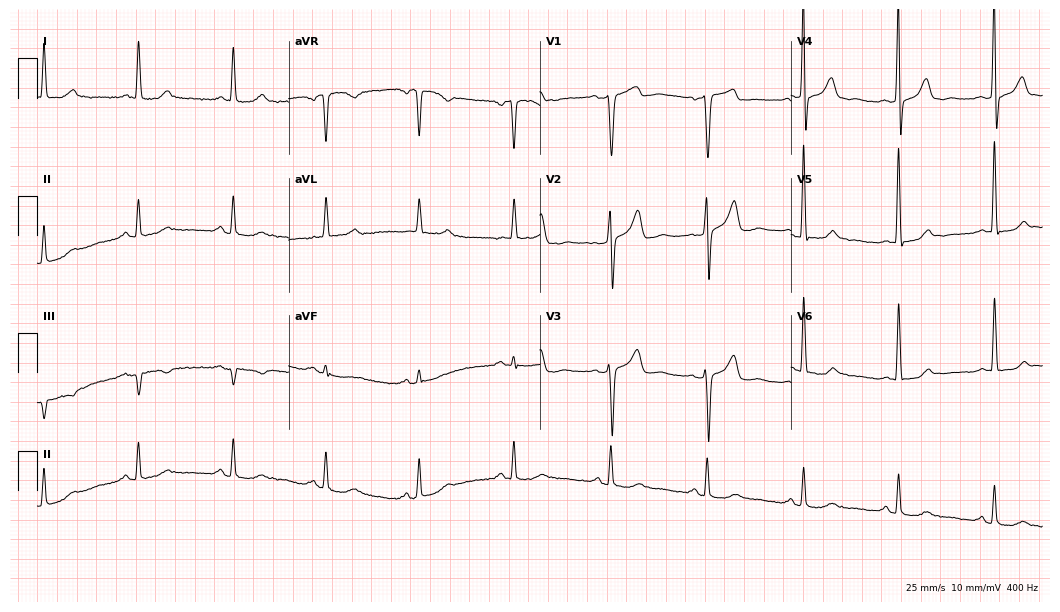
12-lead ECG from a male, 45 years old. Labelled as a normal ECG.